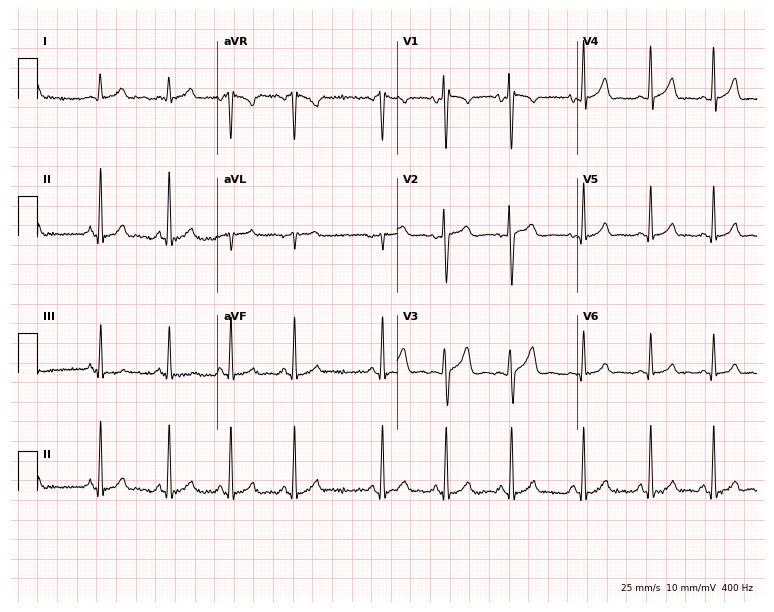
12-lead ECG from a woman, 18 years old. Labelled as a normal ECG.